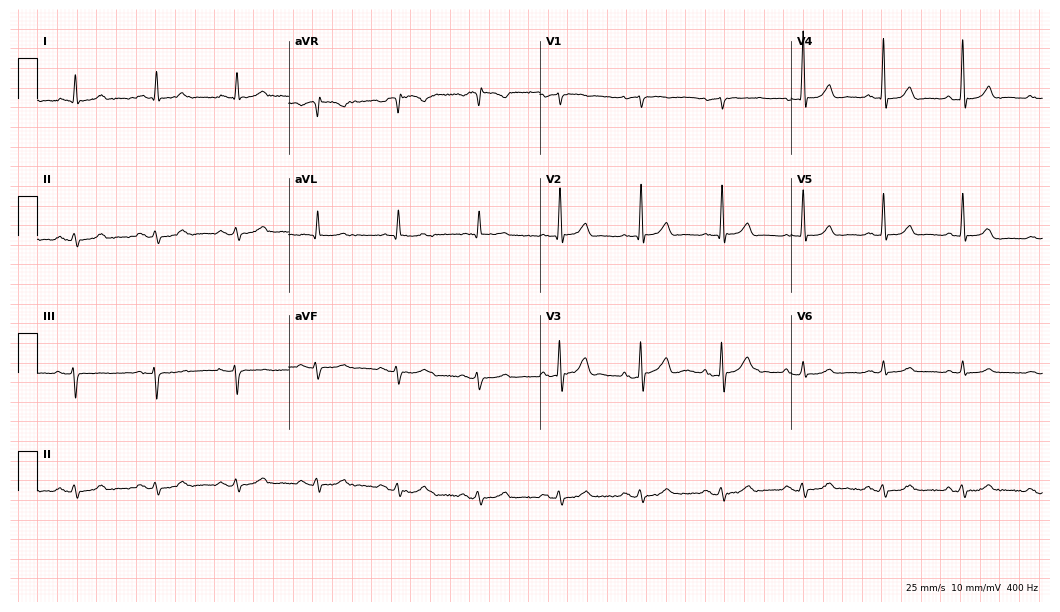
Resting 12-lead electrocardiogram (10.2-second recording at 400 Hz). Patient: an 84-year-old man. Read as a normal ECG.